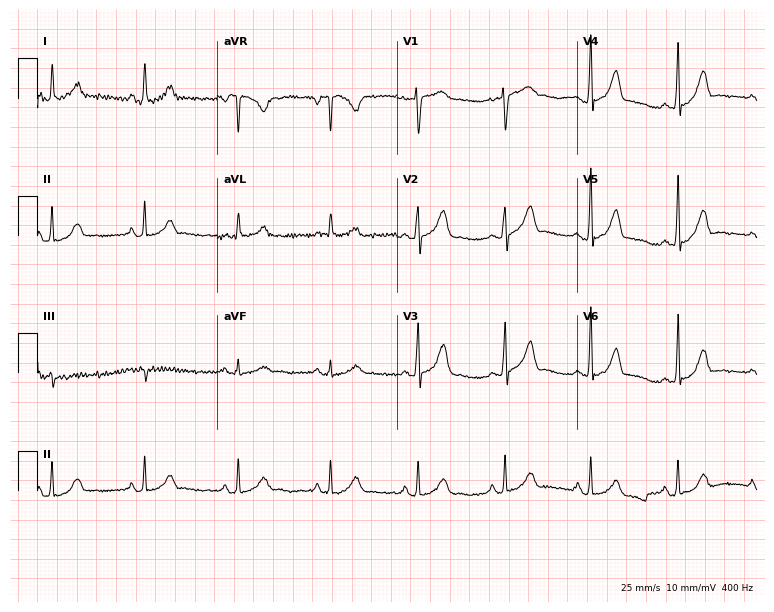
12-lead ECG from a 34-year-old female. Labelled as a normal ECG.